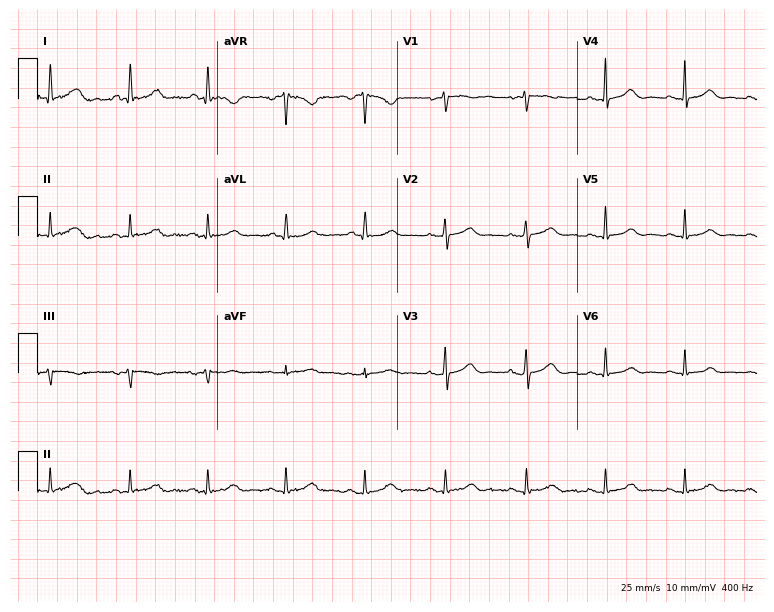
Resting 12-lead electrocardiogram (7.3-second recording at 400 Hz). Patient: a female, 67 years old. Read as a normal ECG.